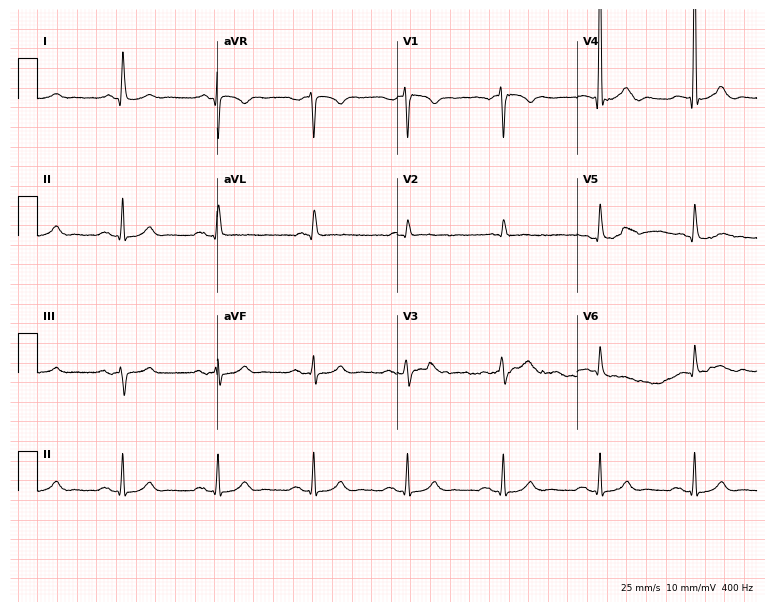
Electrocardiogram, a male patient, 81 years old. Overall reading on record: normal ECG.